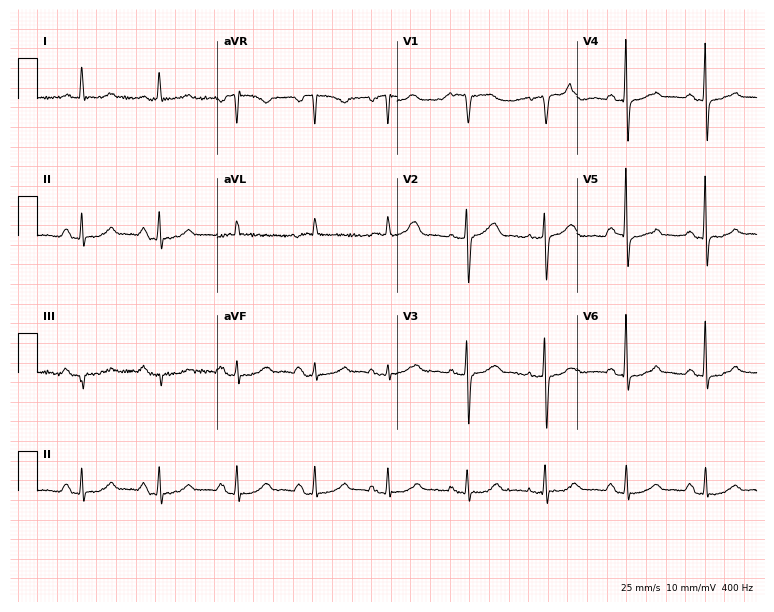
Electrocardiogram (7.3-second recording at 400 Hz), an 84-year-old female. Overall reading on record: normal ECG.